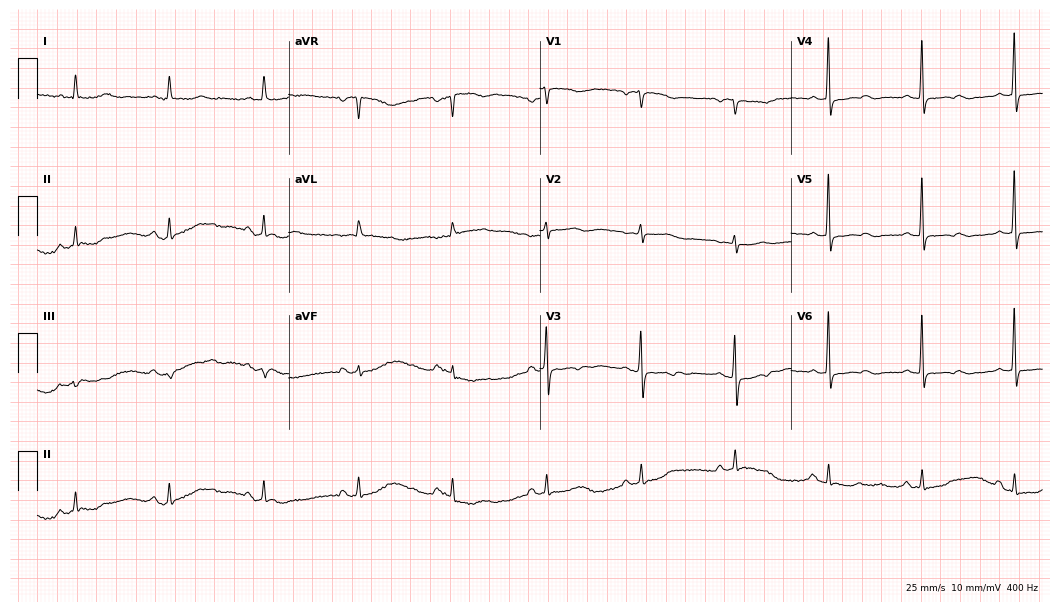
Electrocardiogram (10.2-second recording at 400 Hz), a woman, 78 years old. Of the six screened findings (first-degree AV block, right bundle branch block (RBBB), left bundle branch block (LBBB), sinus bradycardia, atrial fibrillation (AF), sinus tachycardia), none is recorded. Only these six findings were labelled.